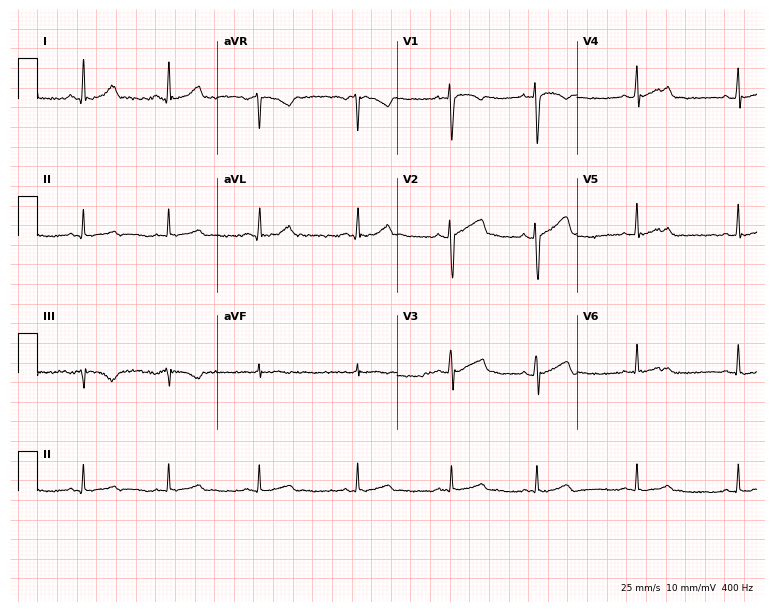
12-lead ECG from a 26-year-old male patient. Recorded interpretation: within normal limits.